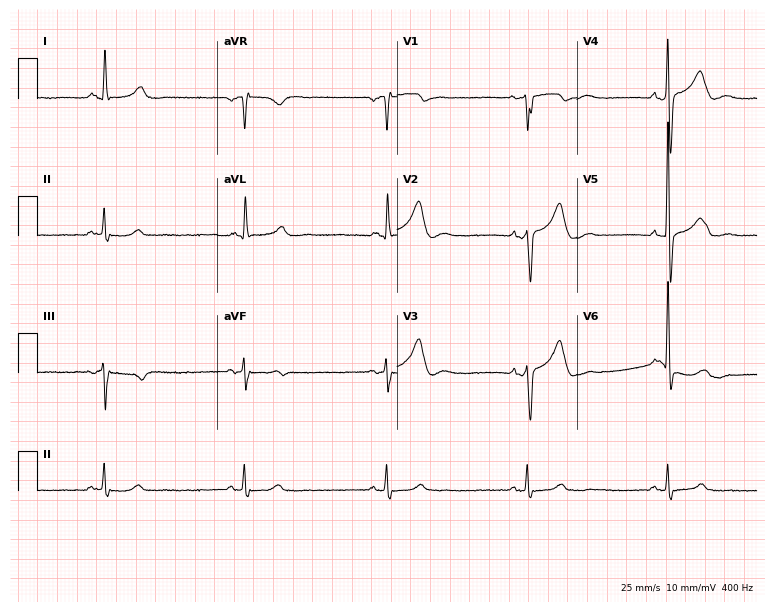
ECG (7.3-second recording at 400 Hz) — a 71-year-old male. Screened for six findings — first-degree AV block, right bundle branch block (RBBB), left bundle branch block (LBBB), sinus bradycardia, atrial fibrillation (AF), sinus tachycardia — none is recorded.